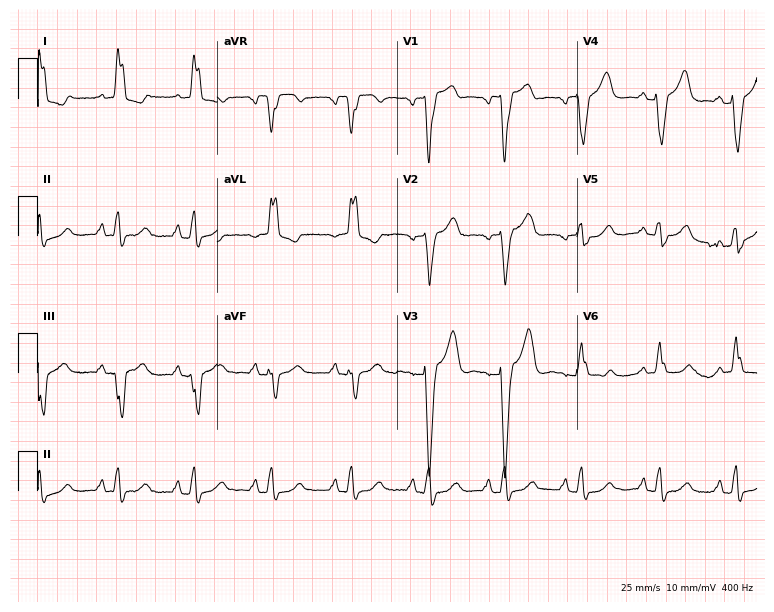
ECG (7.3-second recording at 400 Hz) — a female patient, 51 years old. Findings include left bundle branch block.